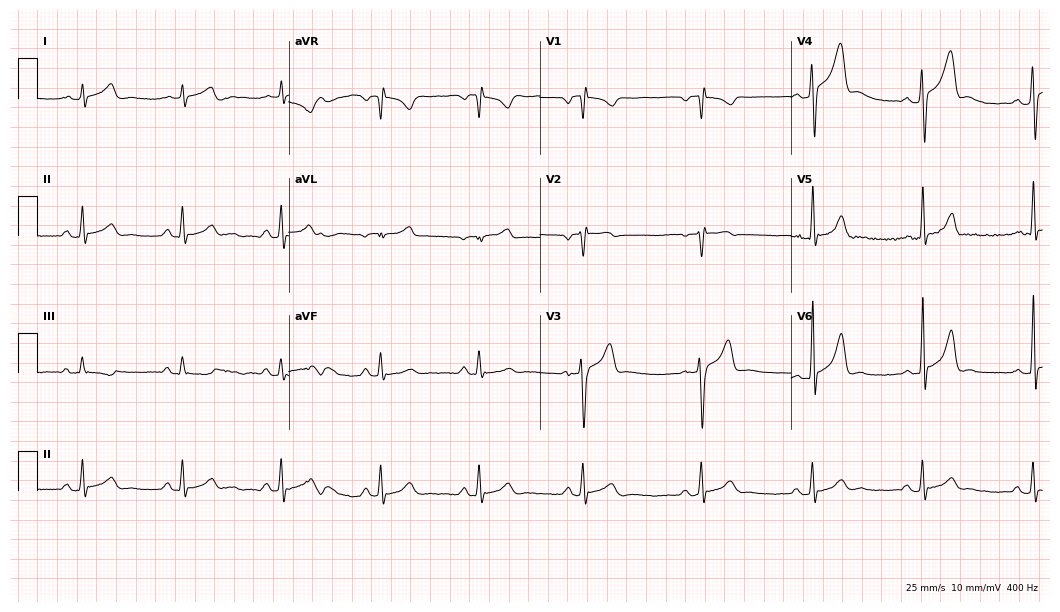
Resting 12-lead electrocardiogram. Patient: a male, 21 years old. None of these six findings is recorded: first-degree AV block, right bundle branch block, left bundle branch block, sinus bradycardia, atrial fibrillation, sinus tachycardia.